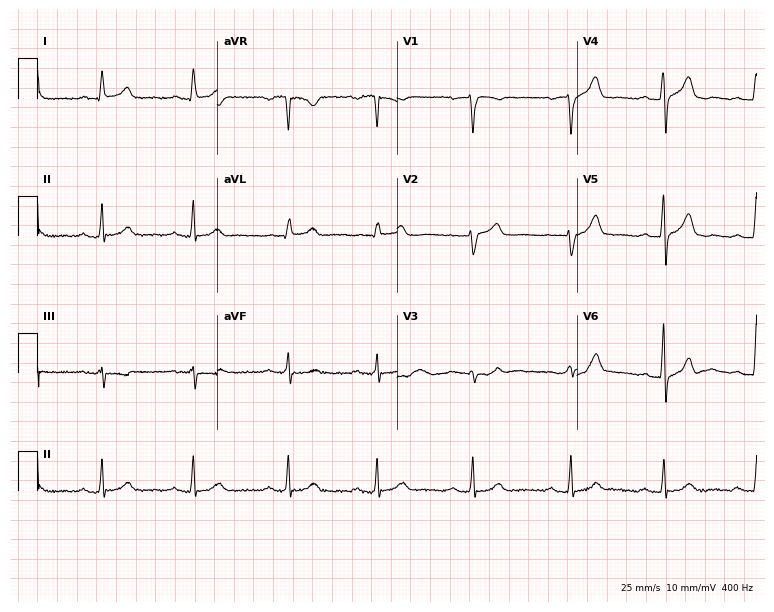
Resting 12-lead electrocardiogram. Patient: a 40-year-old female. The tracing shows first-degree AV block.